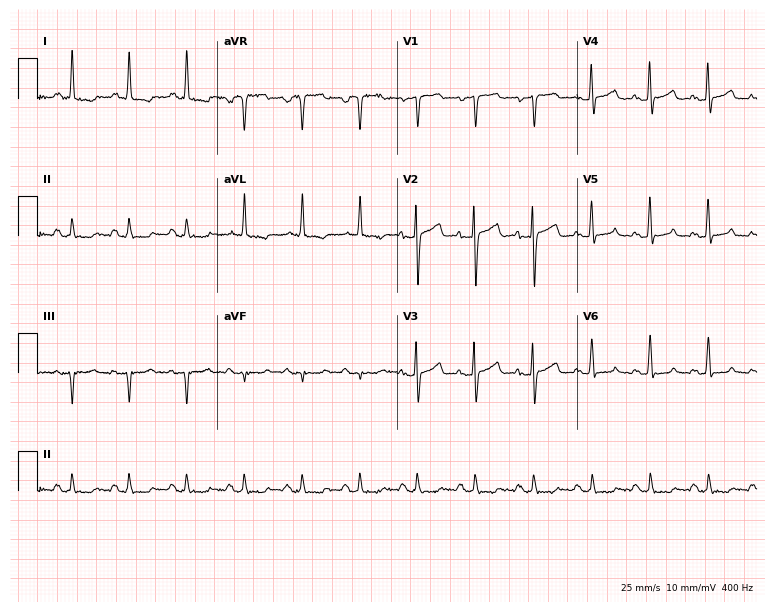
Resting 12-lead electrocardiogram. Patient: a woman, 73 years old. None of these six findings is recorded: first-degree AV block, right bundle branch block, left bundle branch block, sinus bradycardia, atrial fibrillation, sinus tachycardia.